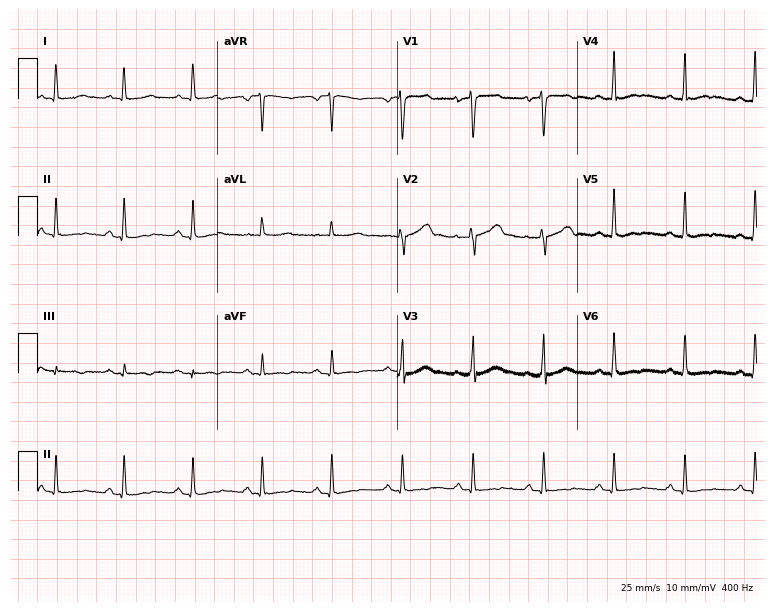
12-lead ECG (7.3-second recording at 400 Hz) from a 34-year-old man. Screened for six findings — first-degree AV block, right bundle branch block (RBBB), left bundle branch block (LBBB), sinus bradycardia, atrial fibrillation (AF), sinus tachycardia — none is recorded.